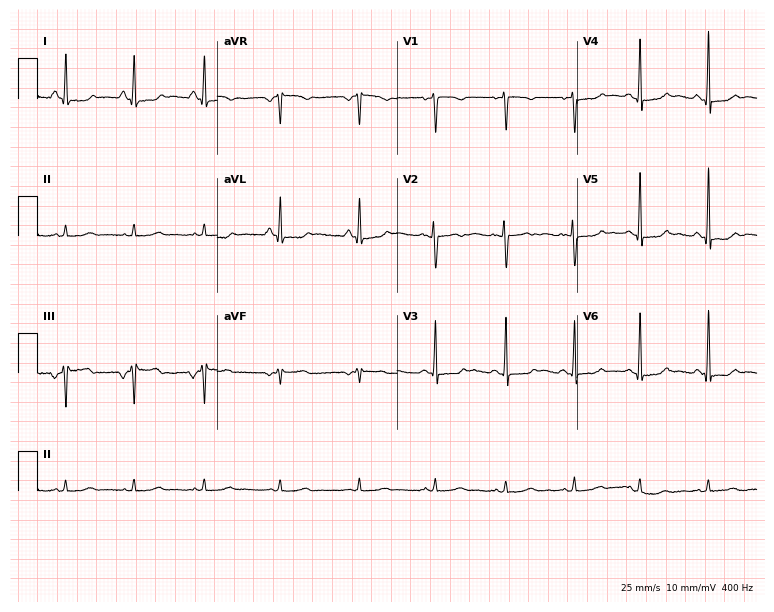
12-lead ECG from a woman, 17 years old. No first-degree AV block, right bundle branch block, left bundle branch block, sinus bradycardia, atrial fibrillation or sinus tachycardia recorded for this tracing. Other findings, if any, are not listed.